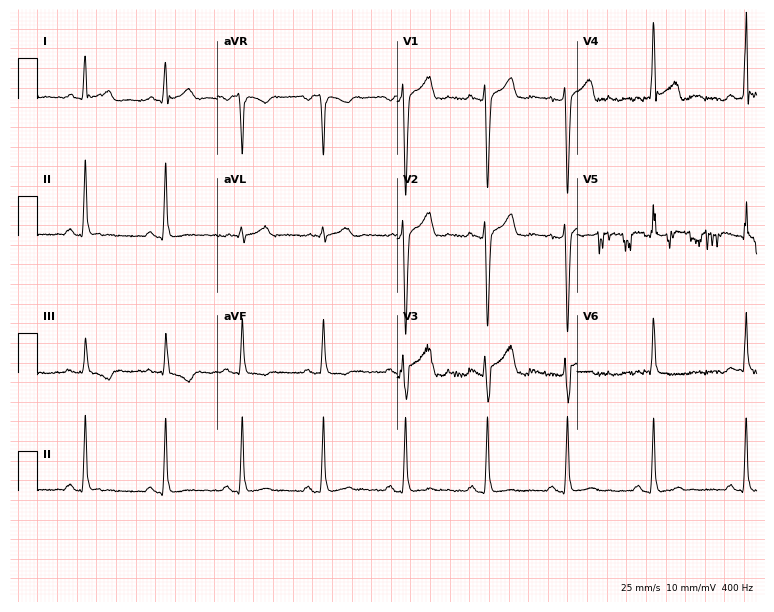
12-lead ECG from a man, 54 years old (7.3-second recording at 400 Hz). Recorded interpretation: within normal limits.